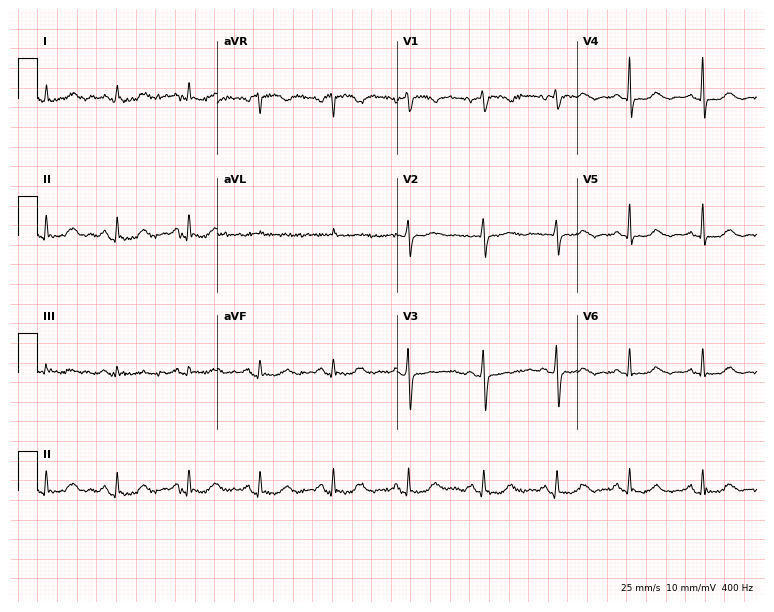
12-lead ECG from a woman, 60 years old (7.3-second recording at 400 Hz). No first-degree AV block, right bundle branch block, left bundle branch block, sinus bradycardia, atrial fibrillation or sinus tachycardia recorded for this tracing. Only these six findings were labelled.